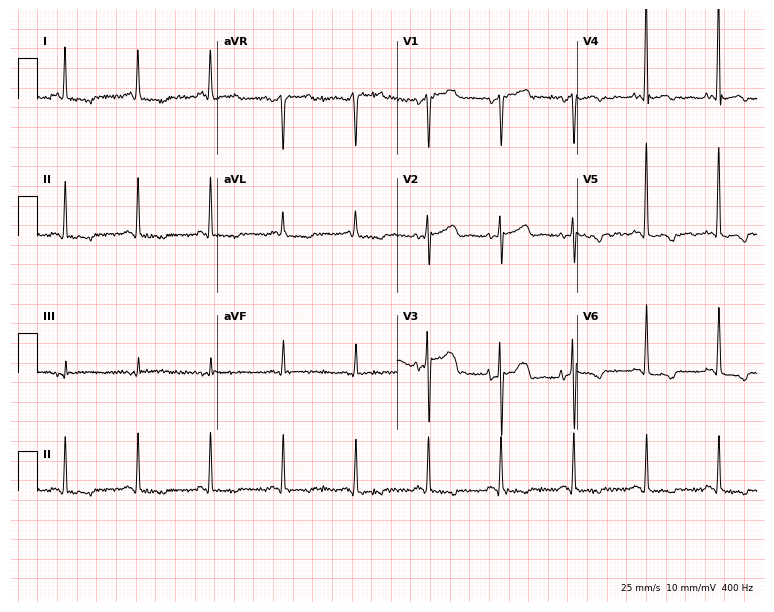
Resting 12-lead electrocardiogram. Patient: a female, 54 years old. Read as a normal ECG.